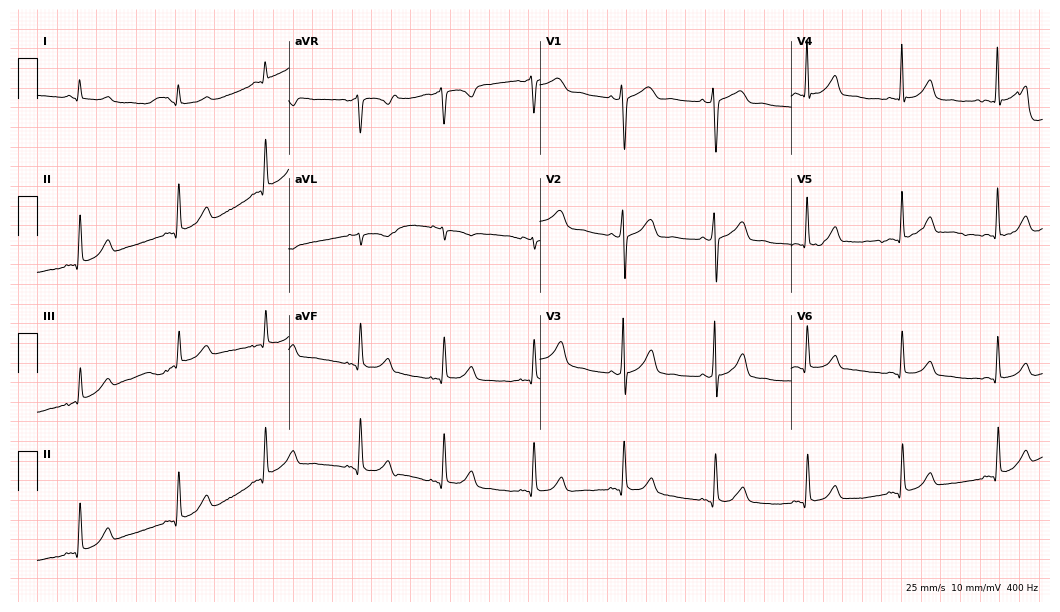
Standard 12-lead ECG recorded from a 52-year-old woman. Read as a normal ECG.